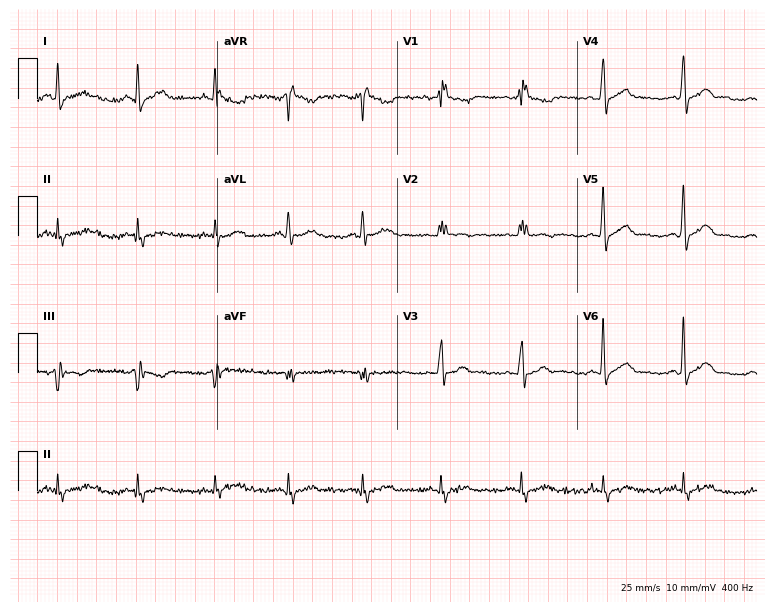
ECG (7.3-second recording at 400 Hz) — a 56-year-old male. Screened for six findings — first-degree AV block, right bundle branch block, left bundle branch block, sinus bradycardia, atrial fibrillation, sinus tachycardia — none is recorded.